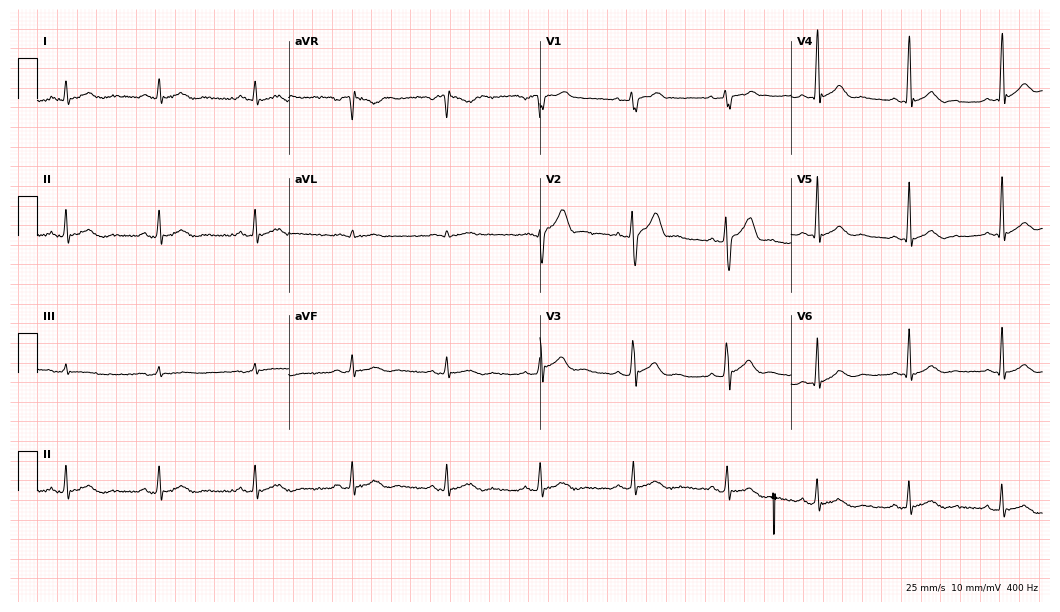
Resting 12-lead electrocardiogram. Patient: a 48-year-old female. Read as a normal ECG.